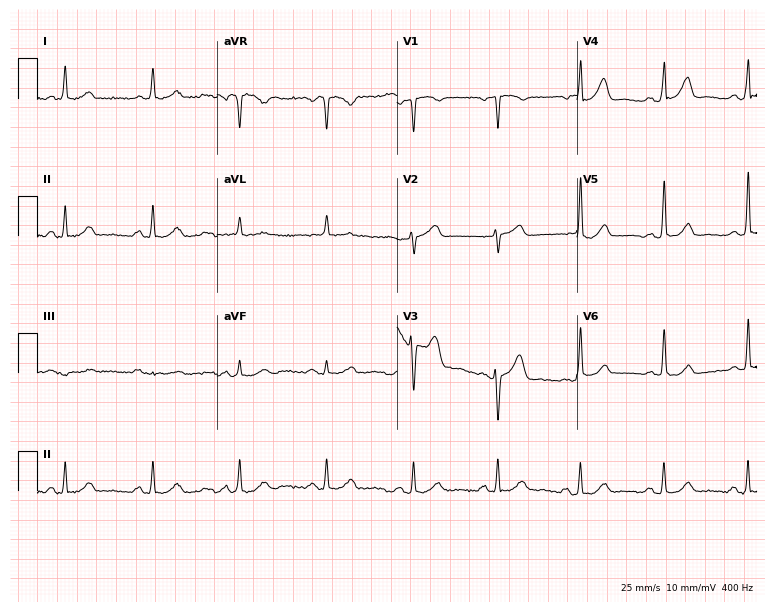
Electrocardiogram, a man, 63 years old. Of the six screened findings (first-degree AV block, right bundle branch block, left bundle branch block, sinus bradycardia, atrial fibrillation, sinus tachycardia), none is recorded. Other findings, if any, are not listed.